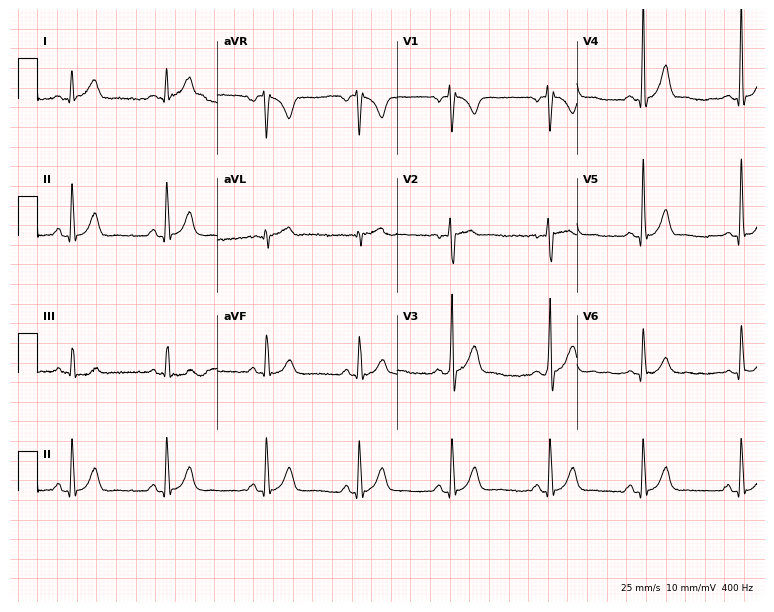
12-lead ECG from a 34-year-old man. No first-degree AV block, right bundle branch block, left bundle branch block, sinus bradycardia, atrial fibrillation or sinus tachycardia recorded for this tracing.